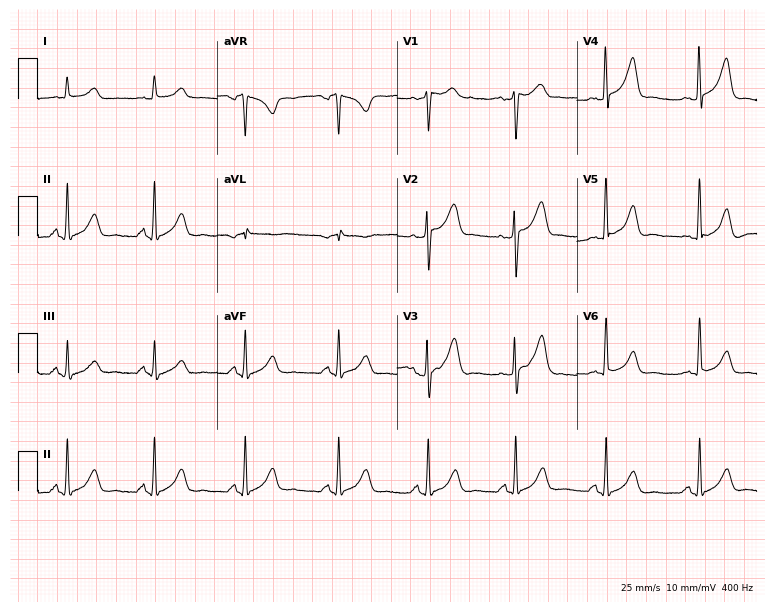
12-lead ECG from a man, 66 years old (7.3-second recording at 400 Hz). No first-degree AV block, right bundle branch block (RBBB), left bundle branch block (LBBB), sinus bradycardia, atrial fibrillation (AF) or sinus tachycardia recorded for this tracing.